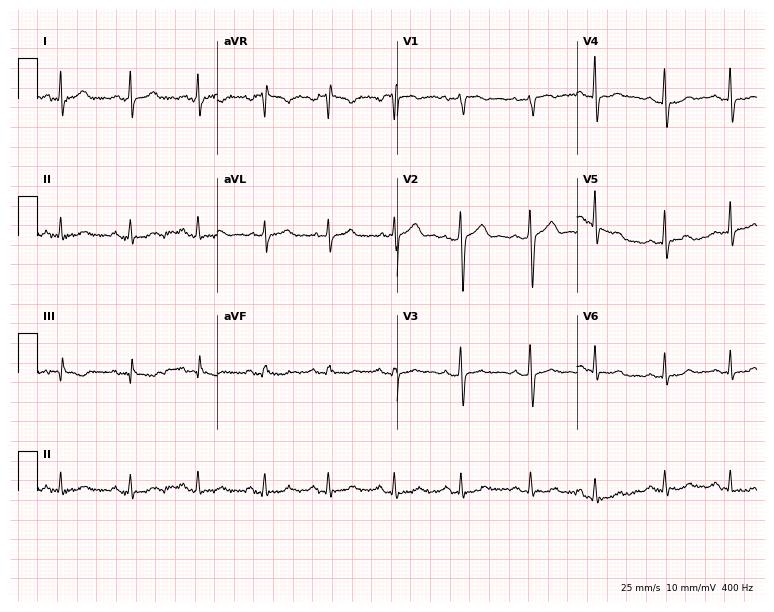
ECG (7.3-second recording at 400 Hz) — a 51-year-old woman. Screened for six findings — first-degree AV block, right bundle branch block, left bundle branch block, sinus bradycardia, atrial fibrillation, sinus tachycardia — none is recorded. Only these six findings were labelled.